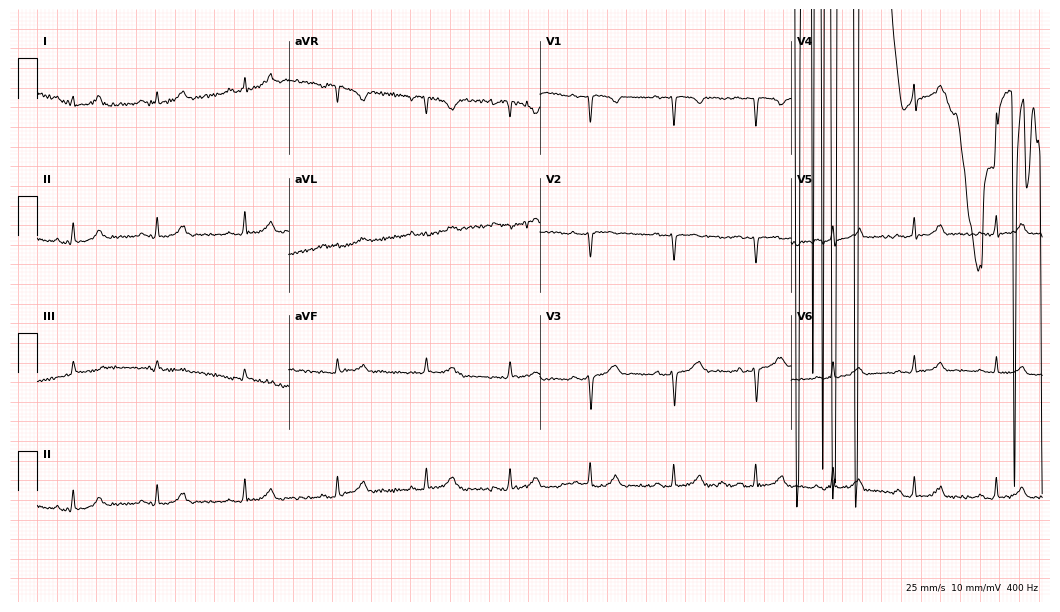
Standard 12-lead ECG recorded from a 29-year-old male. None of these six findings is recorded: first-degree AV block, right bundle branch block, left bundle branch block, sinus bradycardia, atrial fibrillation, sinus tachycardia. Findings outside these six are not listed.